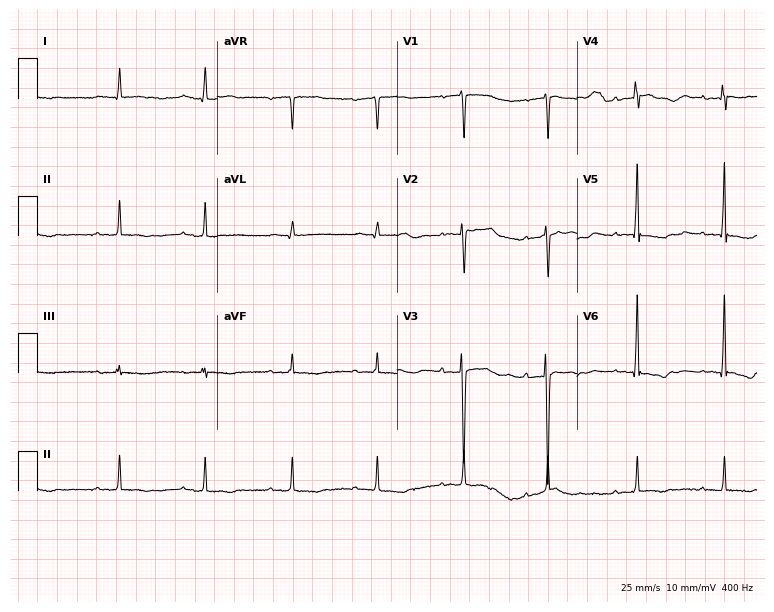
ECG (7.3-second recording at 400 Hz) — a female, 84 years old. Screened for six findings — first-degree AV block, right bundle branch block, left bundle branch block, sinus bradycardia, atrial fibrillation, sinus tachycardia — none is recorded.